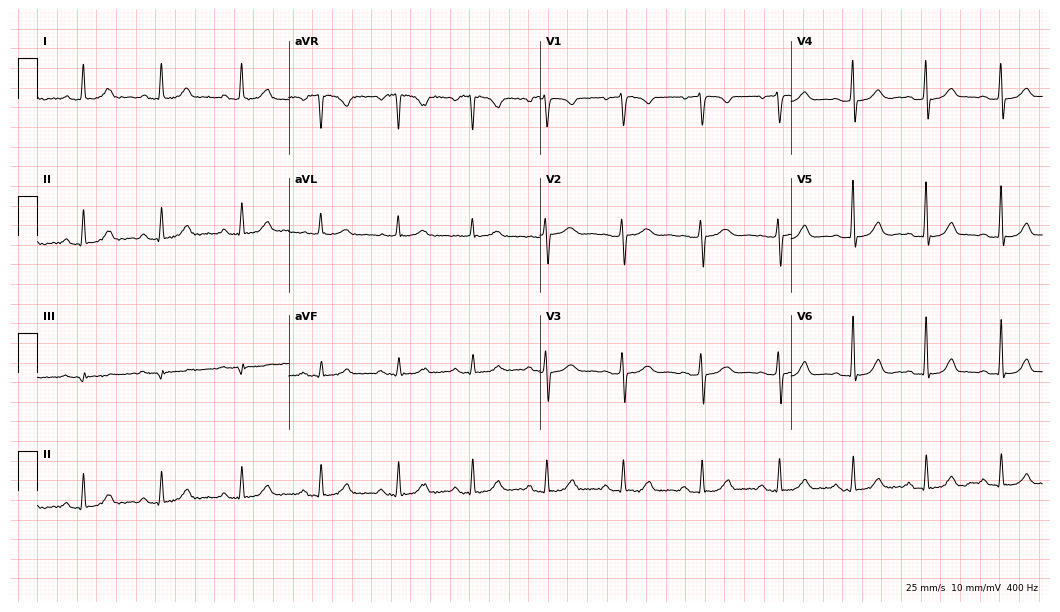
Electrocardiogram, a female patient, 51 years old. Overall reading on record: normal ECG.